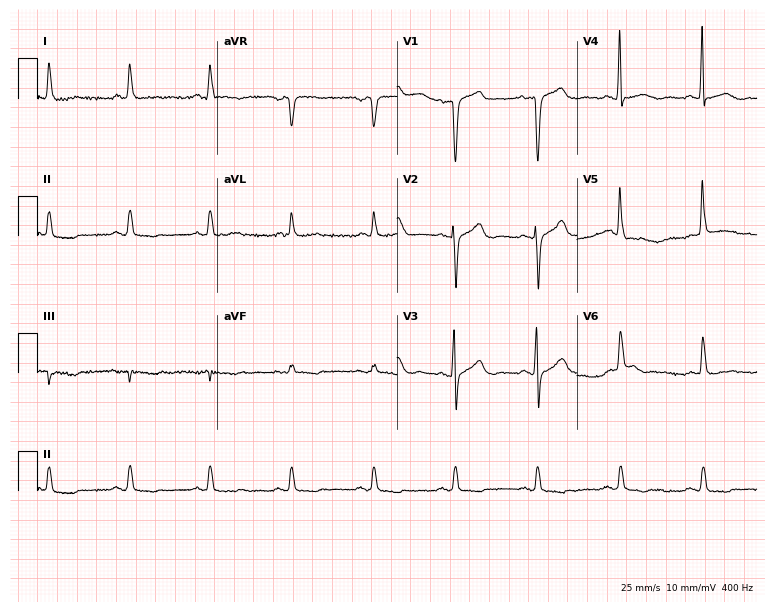
ECG (7.3-second recording at 400 Hz) — a 68-year-old male. Screened for six findings — first-degree AV block, right bundle branch block, left bundle branch block, sinus bradycardia, atrial fibrillation, sinus tachycardia — none is recorded. Only these six findings were labelled.